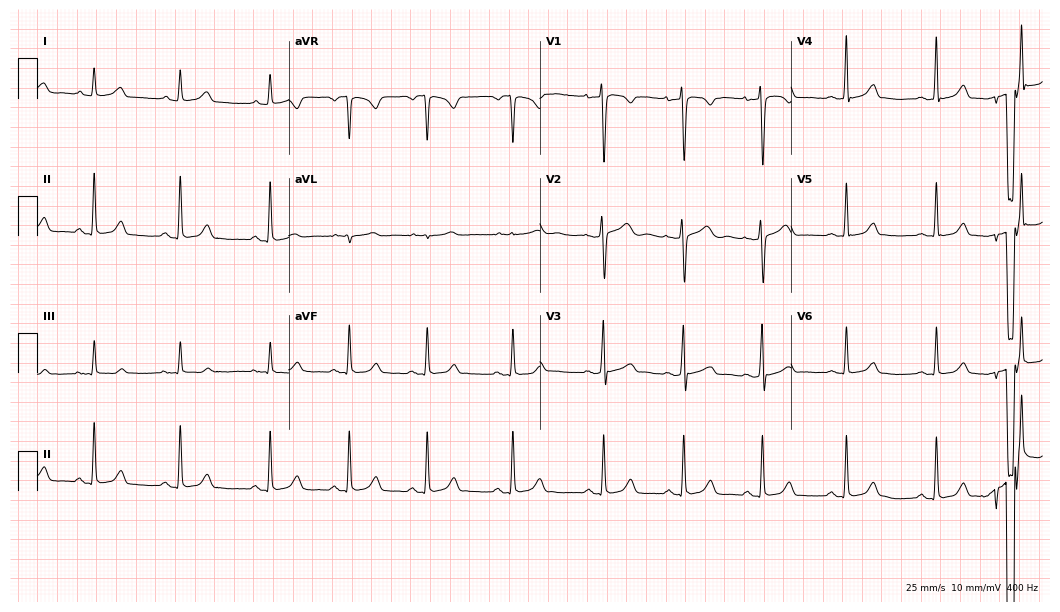
ECG (10.2-second recording at 400 Hz) — a female patient, 23 years old. Labelled as a normal ECG.